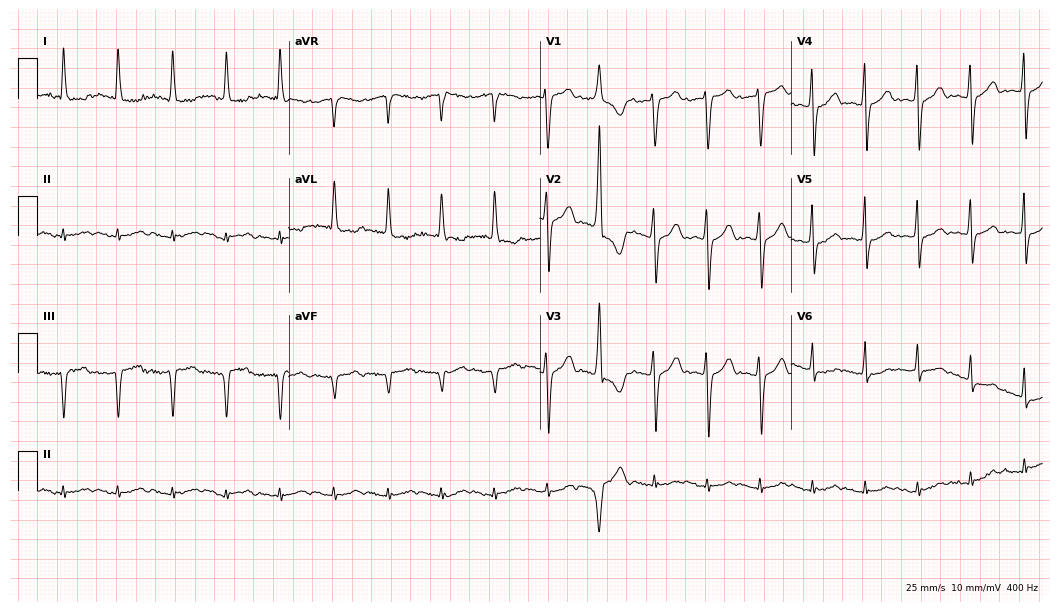
Standard 12-lead ECG recorded from an 85-year-old female. The tracing shows sinus tachycardia (a sinus rate of 100 beats per minute or more).